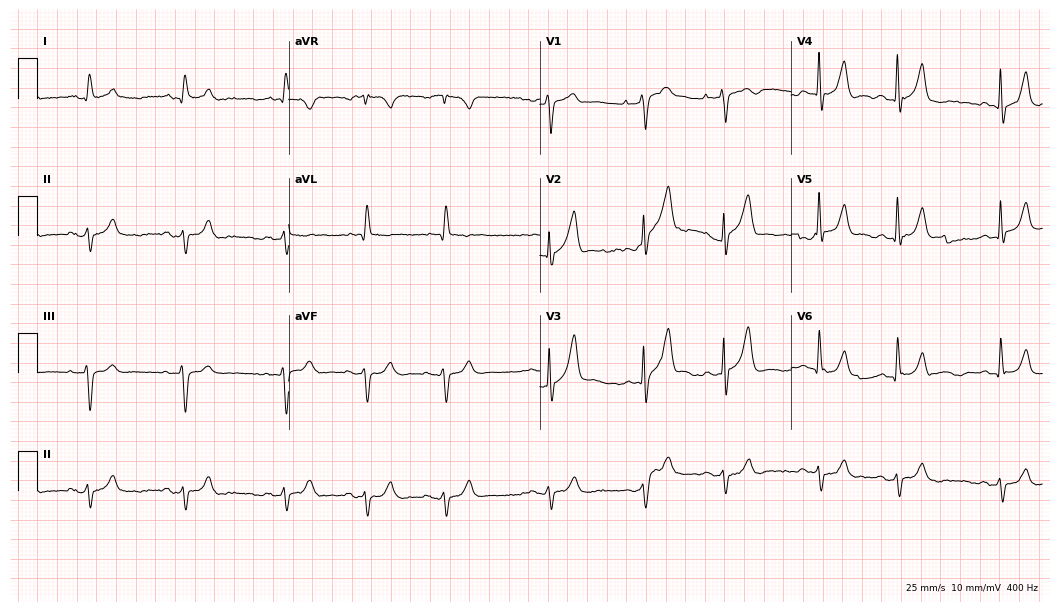
ECG (10.2-second recording at 400 Hz) — a male patient, 78 years old. Screened for six findings — first-degree AV block, right bundle branch block, left bundle branch block, sinus bradycardia, atrial fibrillation, sinus tachycardia — none is recorded. Findings outside these six are not listed.